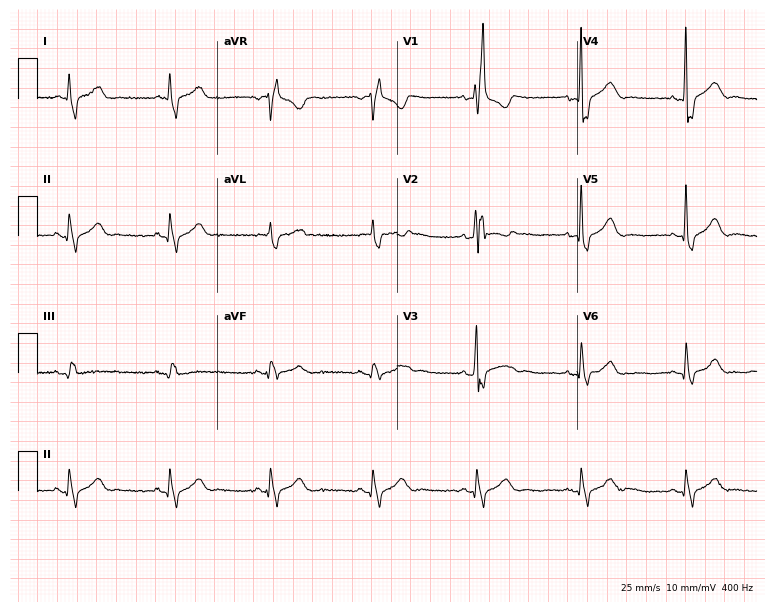
12-lead ECG (7.3-second recording at 400 Hz) from a man, 69 years old. Findings include right bundle branch block.